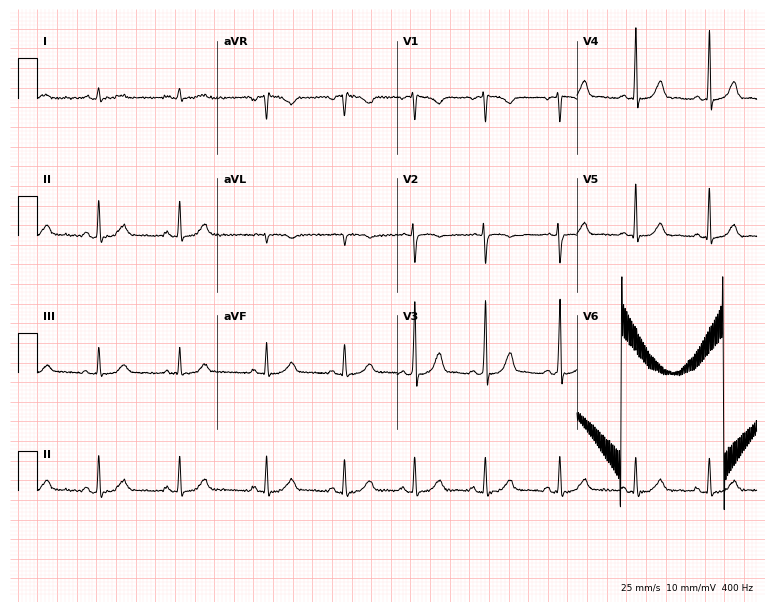
12-lead ECG from a female patient, 30 years old. Labelled as a normal ECG.